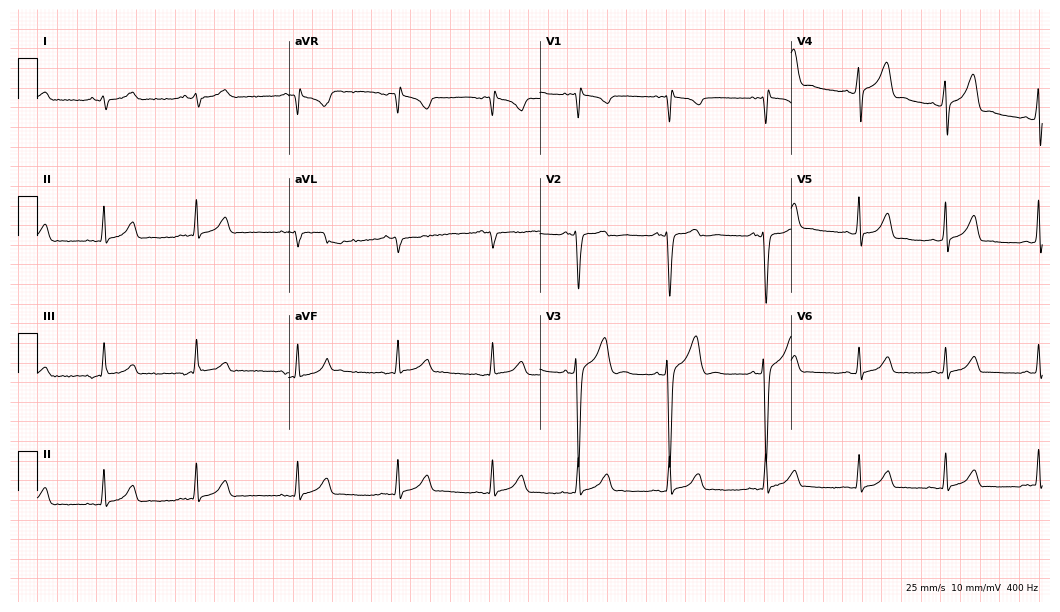
Resting 12-lead electrocardiogram (10.2-second recording at 400 Hz). Patient: a male, 19 years old. Read as a normal ECG.